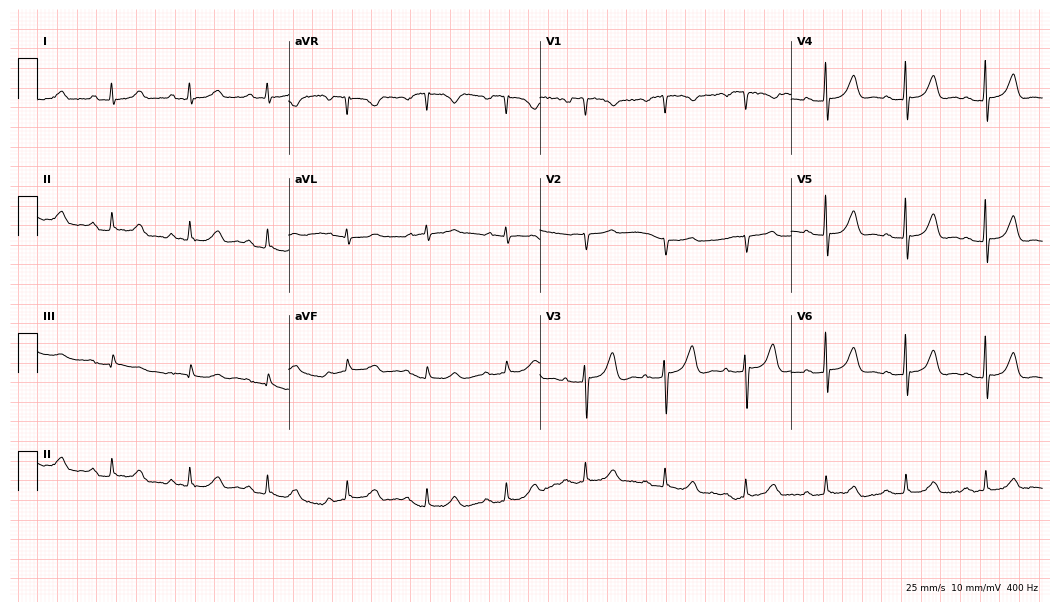
Standard 12-lead ECG recorded from a female patient, 77 years old. Read as a normal ECG.